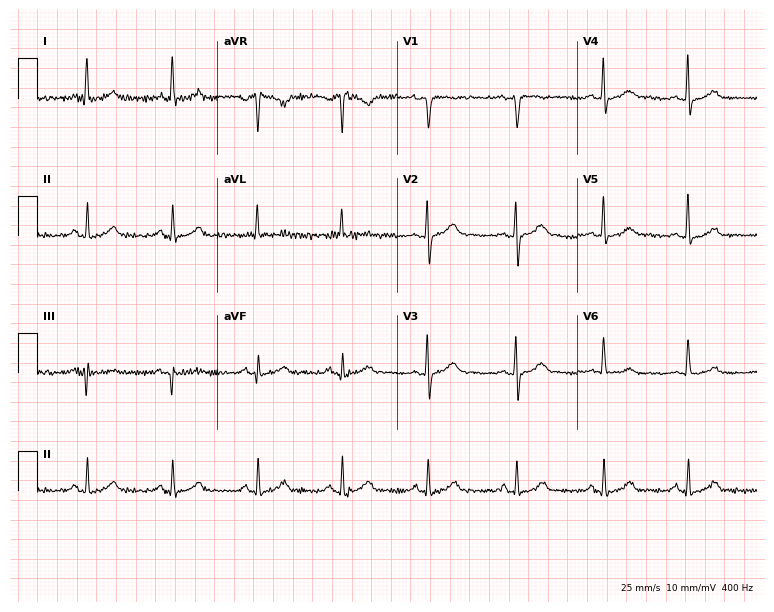
Standard 12-lead ECG recorded from a woman, 38 years old. Read as a normal ECG.